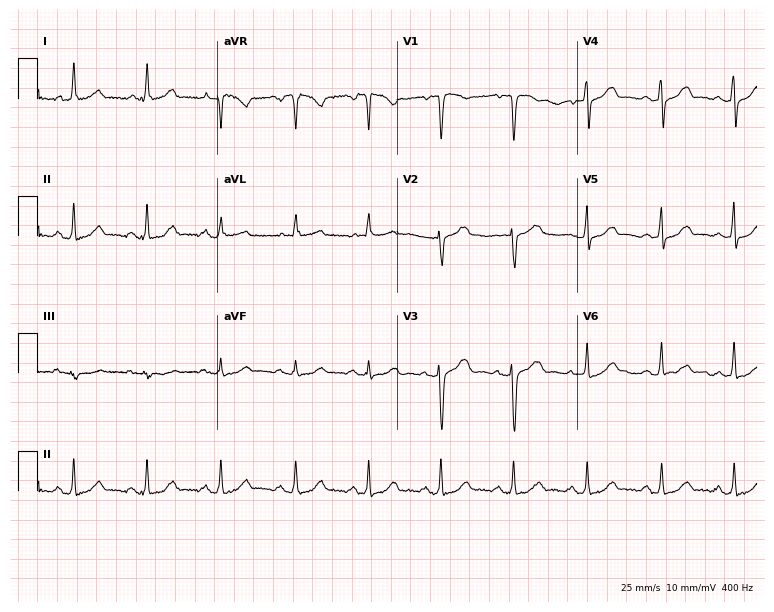
ECG — a 44-year-old female patient. Labelled as a normal ECG.